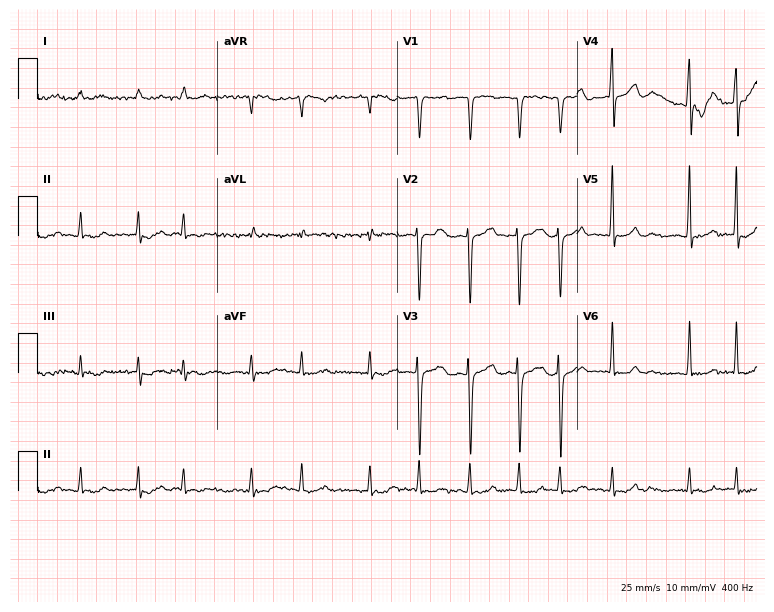
12-lead ECG from a 56-year-old female patient (7.3-second recording at 400 Hz). Shows atrial fibrillation (AF).